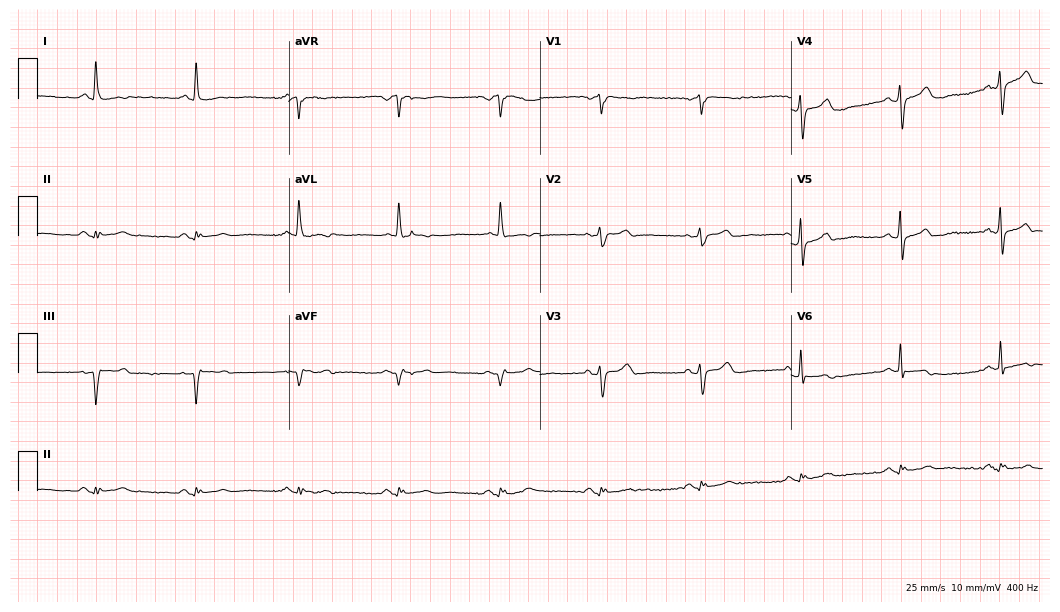
12-lead ECG from an 86-year-old male (10.2-second recording at 400 Hz). No first-degree AV block, right bundle branch block, left bundle branch block, sinus bradycardia, atrial fibrillation or sinus tachycardia recorded for this tracing. Only these six findings were labelled.